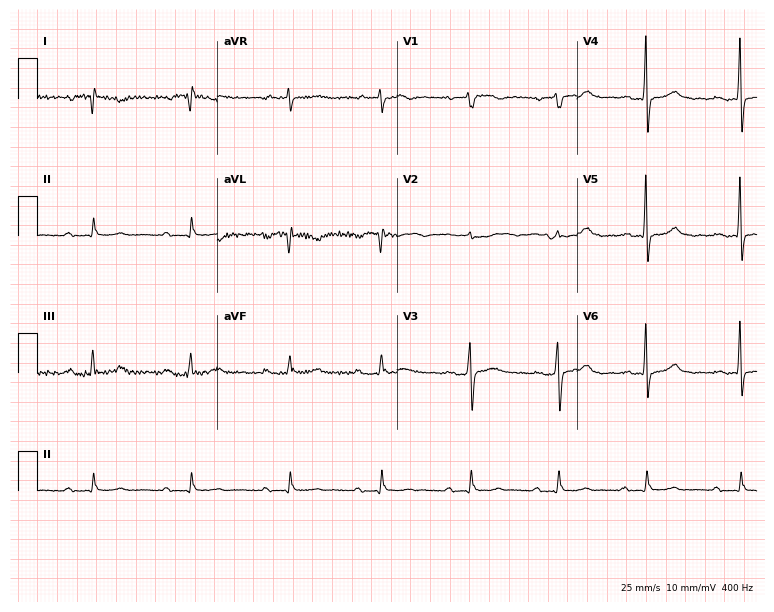
ECG — a woman, 49 years old. Screened for six findings — first-degree AV block, right bundle branch block, left bundle branch block, sinus bradycardia, atrial fibrillation, sinus tachycardia — none is recorded. Only these six findings were labelled.